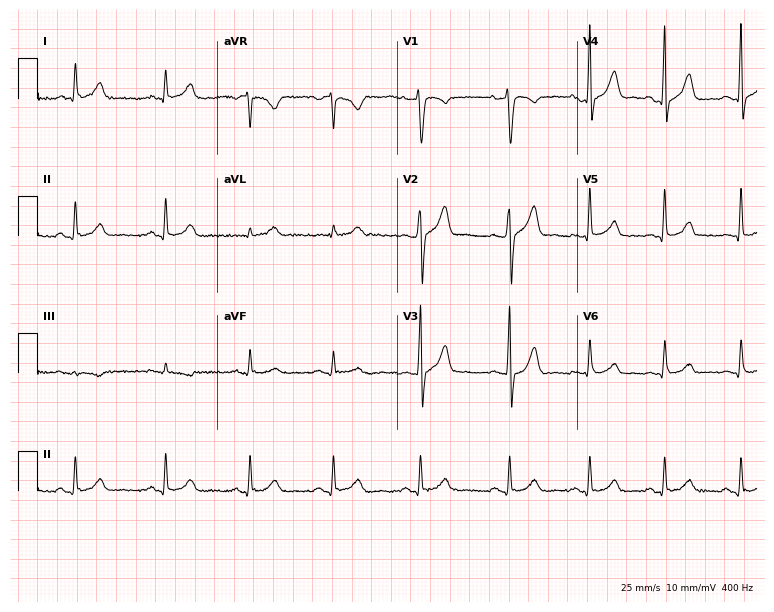
Resting 12-lead electrocardiogram (7.3-second recording at 400 Hz). Patient: a 36-year-old male. Read as a normal ECG.